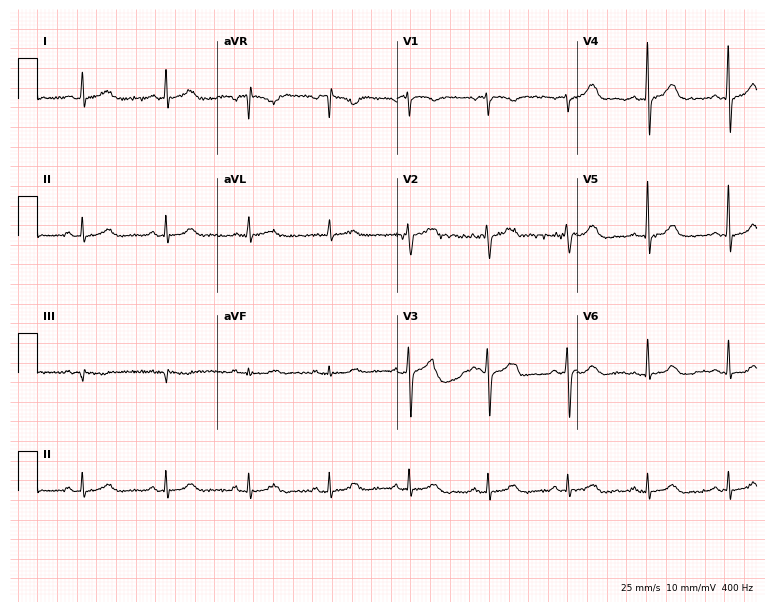
Resting 12-lead electrocardiogram. Patient: a 46-year-old male. Read as a normal ECG.